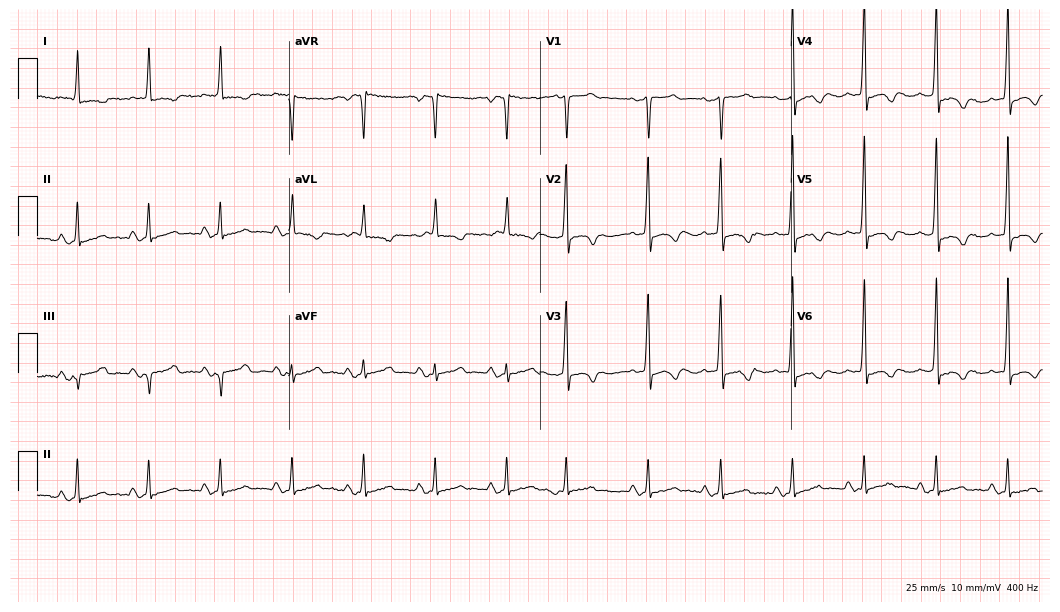
12-lead ECG (10.2-second recording at 400 Hz) from an 84-year-old woman. Screened for six findings — first-degree AV block, right bundle branch block (RBBB), left bundle branch block (LBBB), sinus bradycardia, atrial fibrillation (AF), sinus tachycardia — none is recorded. Findings outside these six are not listed.